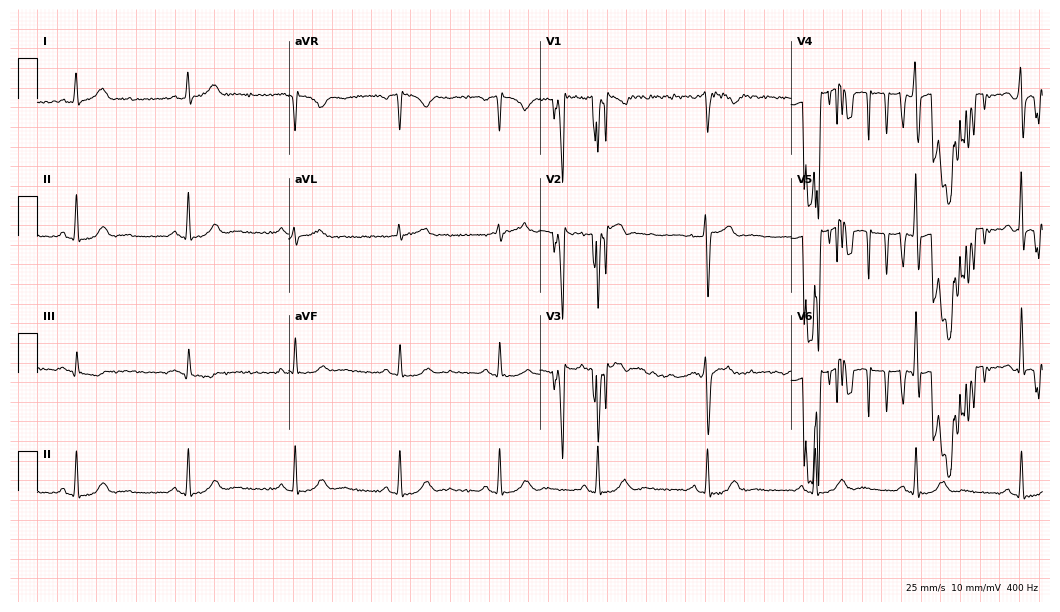
12-lead ECG from a 45-year-old male (10.2-second recording at 400 Hz). Recorded interpretation: within normal limits.